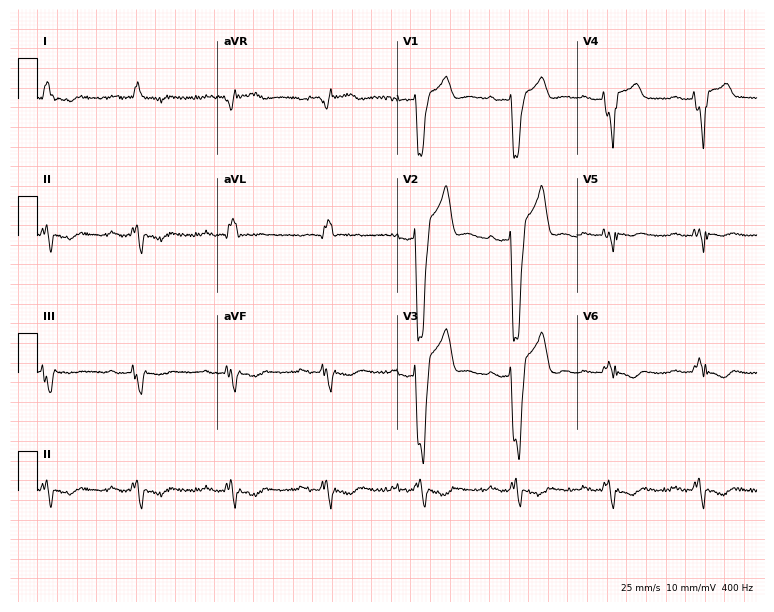
ECG (7.3-second recording at 400 Hz) — a male, 69 years old. Findings include first-degree AV block, left bundle branch block.